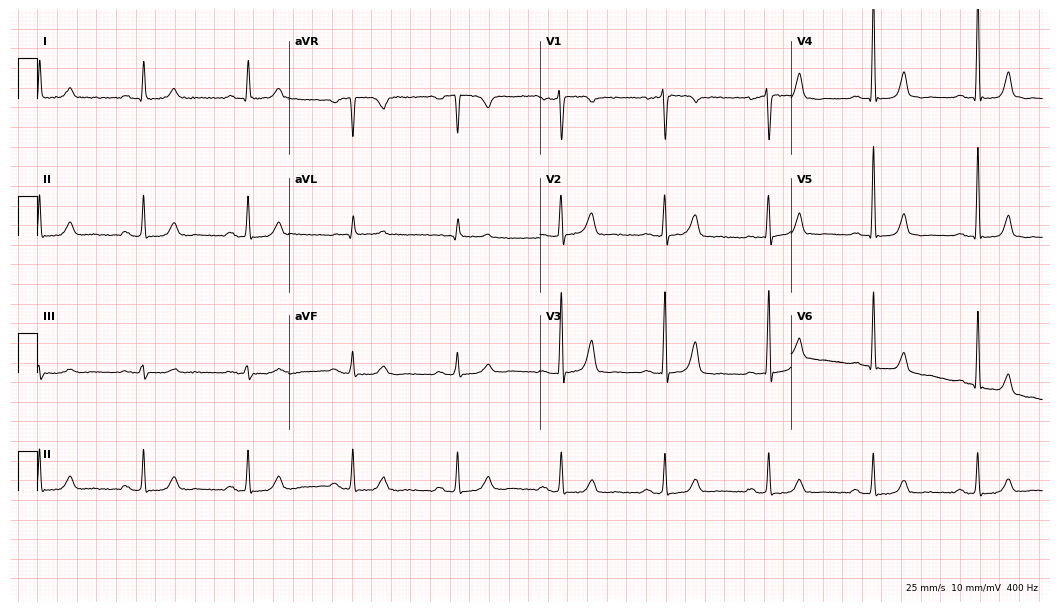
Standard 12-lead ECG recorded from a woman, 56 years old (10.2-second recording at 400 Hz). Read as a normal ECG.